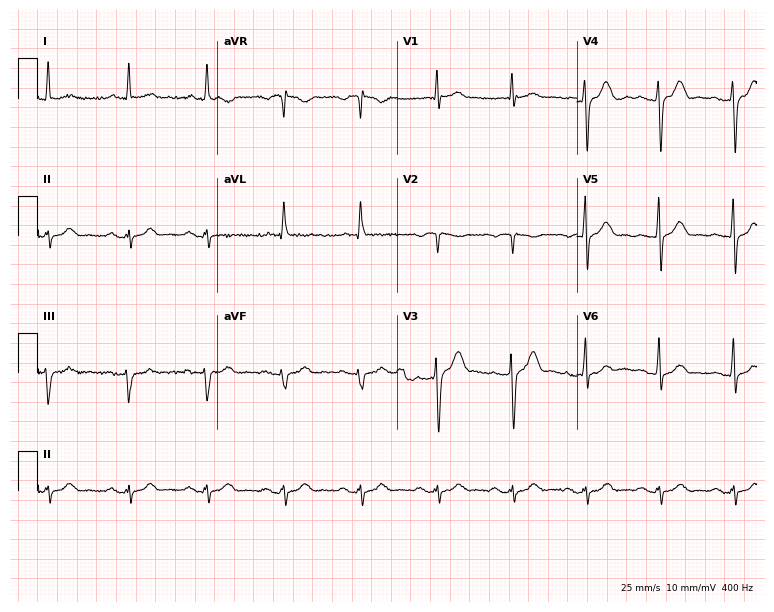
Standard 12-lead ECG recorded from a 68-year-old male. None of these six findings is recorded: first-degree AV block, right bundle branch block, left bundle branch block, sinus bradycardia, atrial fibrillation, sinus tachycardia.